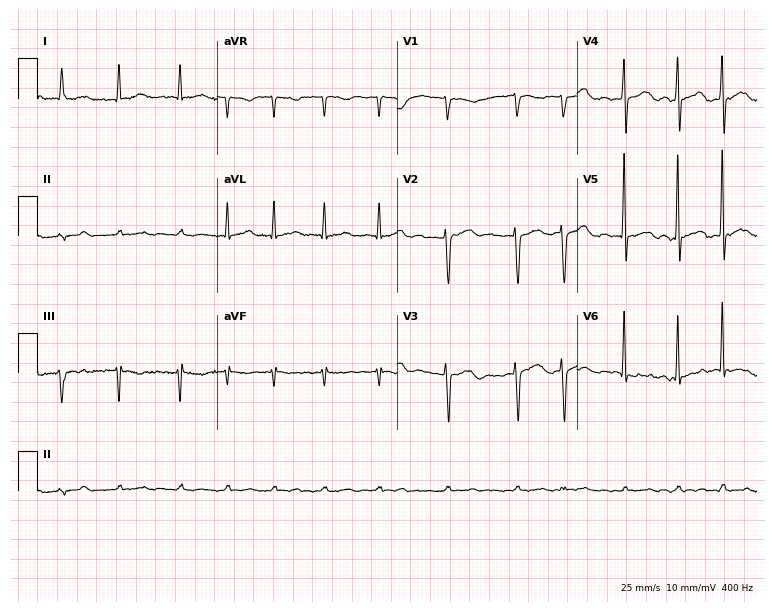
ECG — a 77-year-old man. Findings include atrial fibrillation.